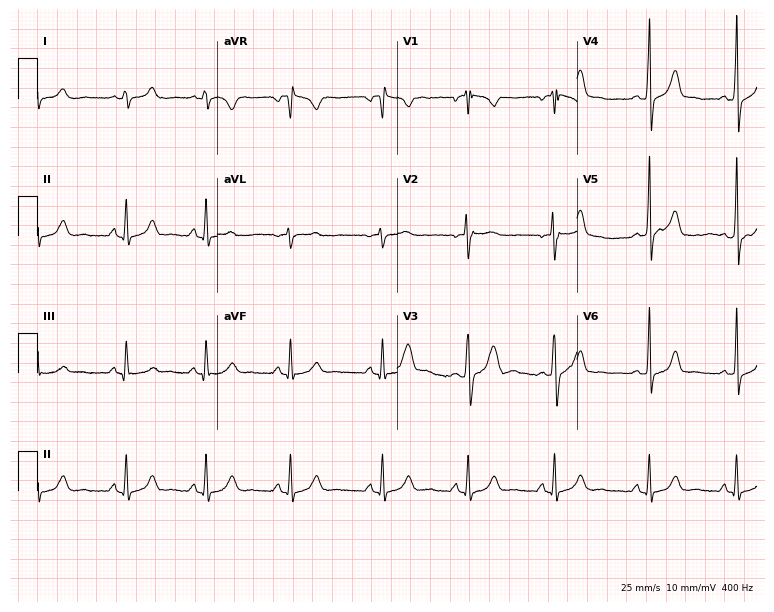
12-lead ECG from a female, 20 years old. Recorded interpretation: within normal limits.